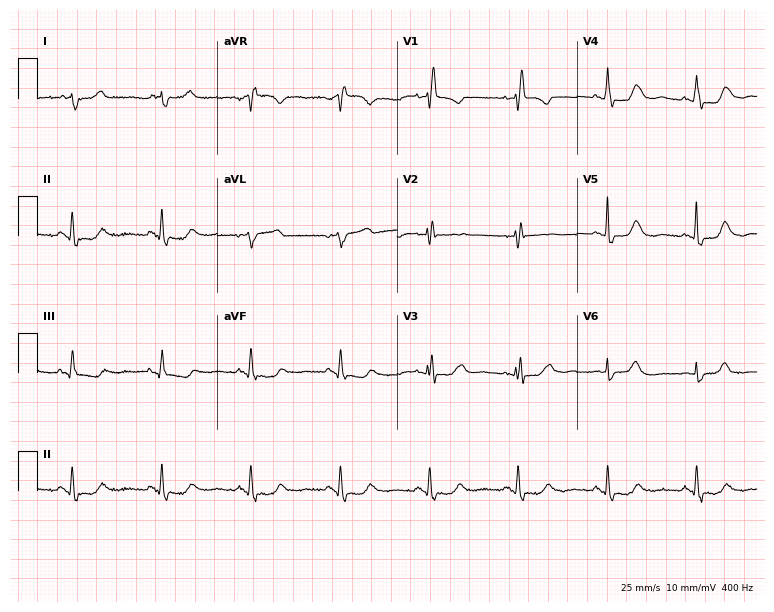
Resting 12-lead electrocardiogram (7.3-second recording at 400 Hz). Patient: a woman, 82 years old. None of these six findings is recorded: first-degree AV block, right bundle branch block (RBBB), left bundle branch block (LBBB), sinus bradycardia, atrial fibrillation (AF), sinus tachycardia.